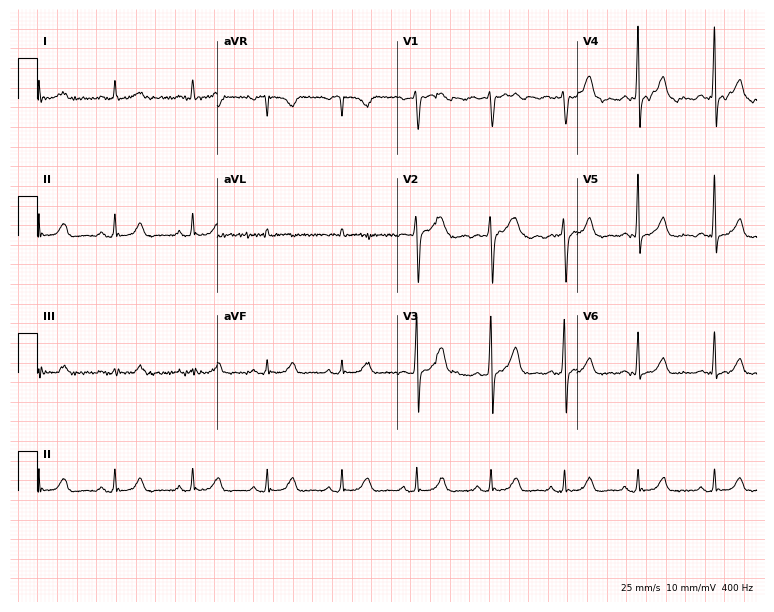
Resting 12-lead electrocardiogram. Patient: a 55-year-old female. Read as a normal ECG.